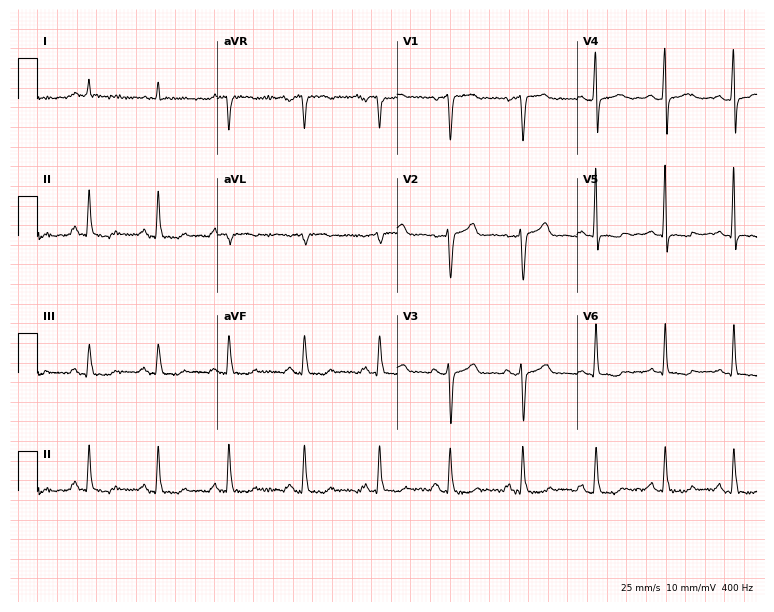
Electrocardiogram, a woman, 36 years old. Of the six screened findings (first-degree AV block, right bundle branch block (RBBB), left bundle branch block (LBBB), sinus bradycardia, atrial fibrillation (AF), sinus tachycardia), none is recorded.